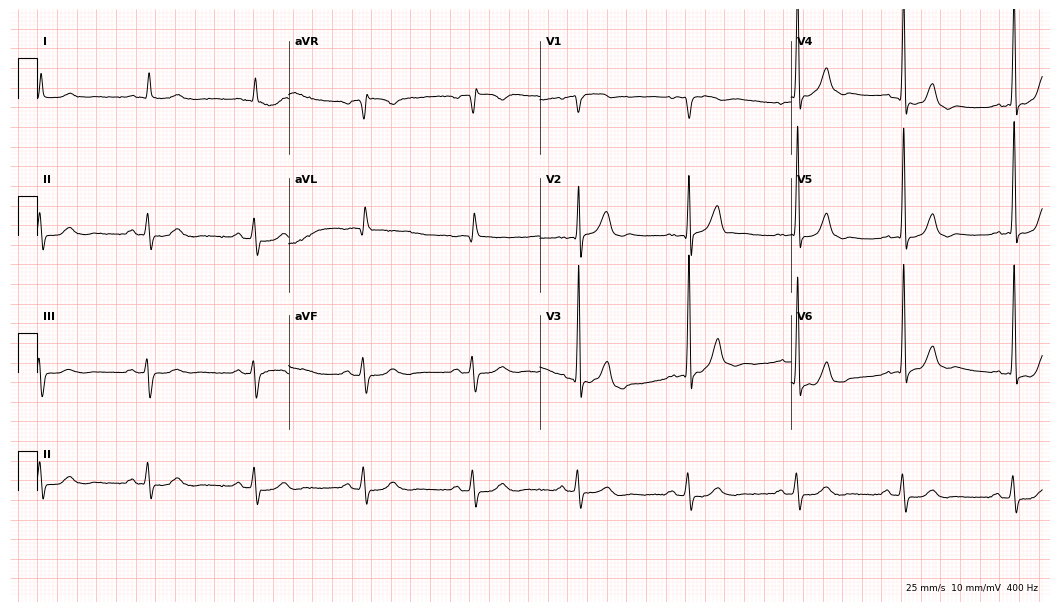
Standard 12-lead ECG recorded from a man, 83 years old (10.2-second recording at 400 Hz). None of these six findings is recorded: first-degree AV block, right bundle branch block, left bundle branch block, sinus bradycardia, atrial fibrillation, sinus tachycardia.